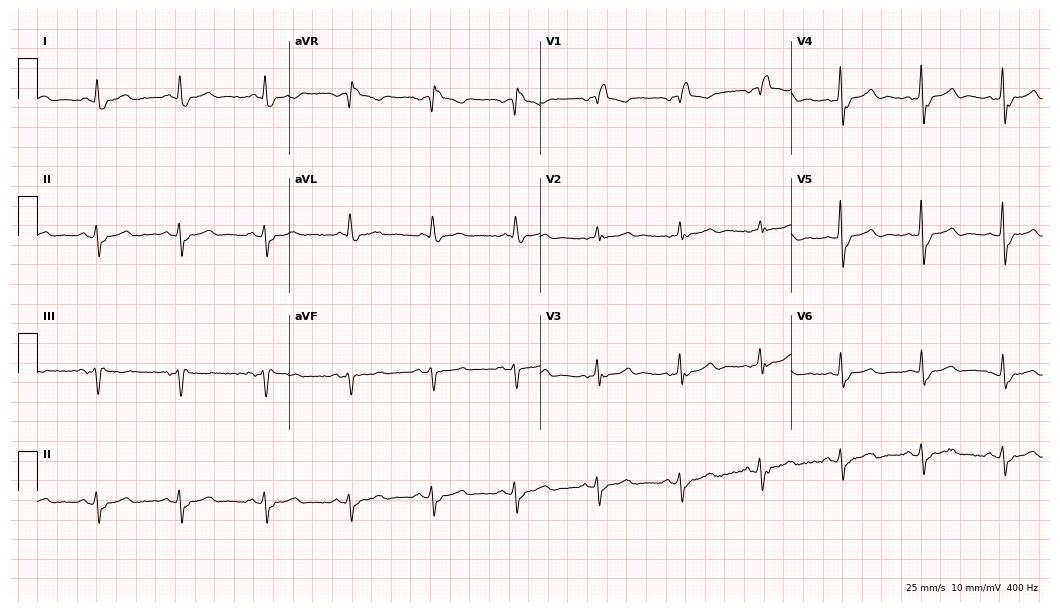
12-lead ECG from a female patient, 84 years old (10.2-second recording at 400 Hz). Shows right bundle branch block.